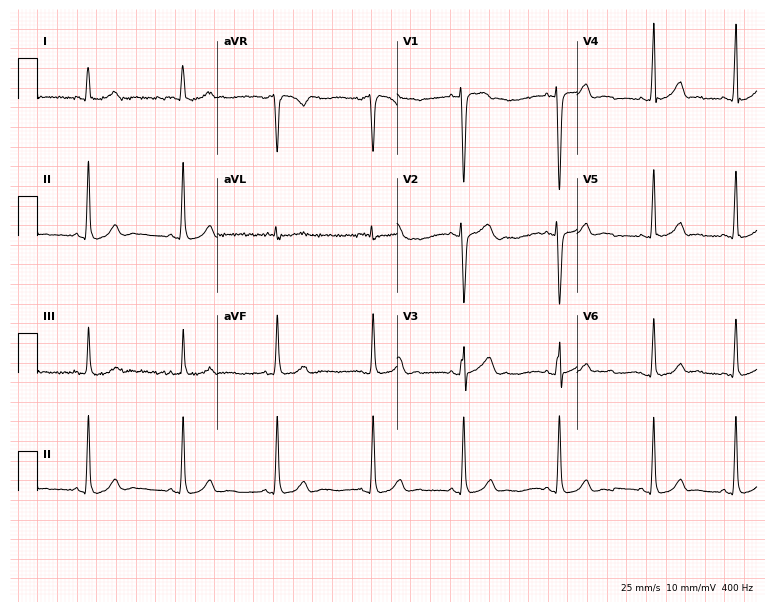
ECG (7.3-second recording at 400 Hz) — a 26-year-old woman. Labelled as a normal ECG.